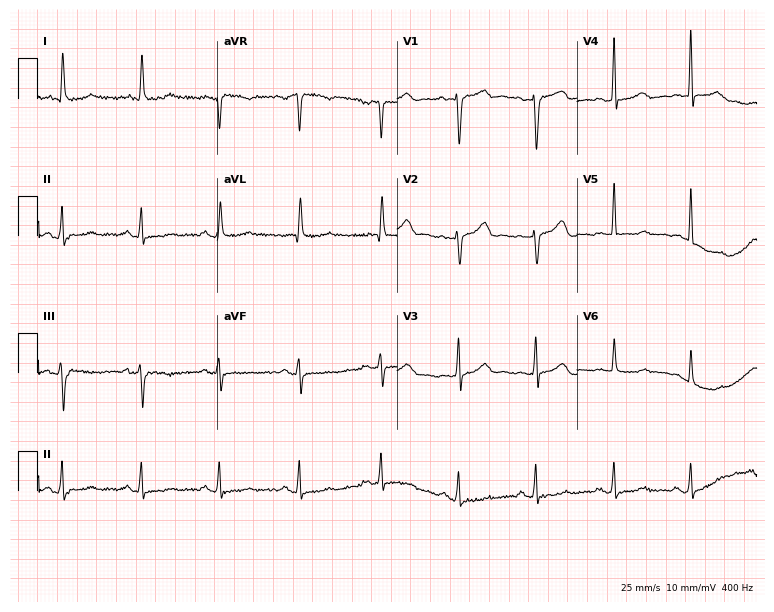
12-lead ECG from a 53-year-old female (7.3-second recording at 400 Hz). No first-degree AV block, right bundle branch block, left bundle branch block, sinus bradycardia, atrial fibrillation or sinus tachycardia recorded for this tracing.